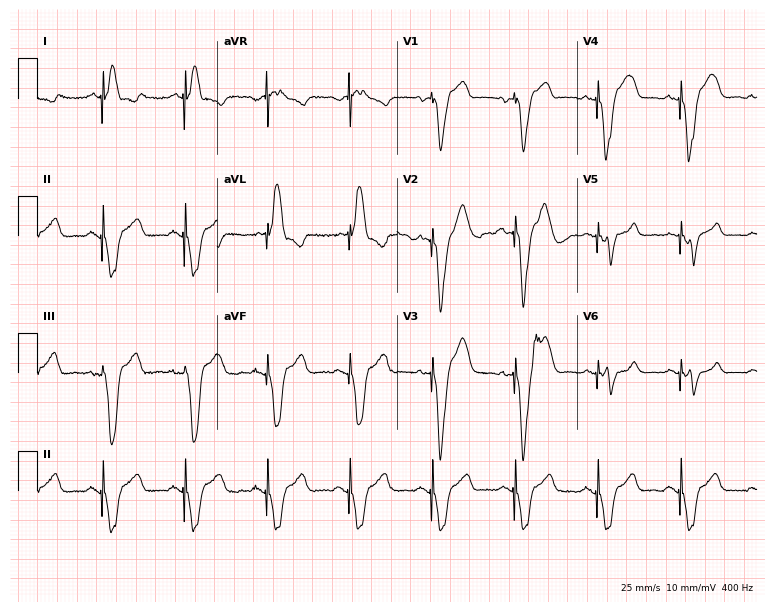
ECG (7.3-second recording at 400 Hz) — a male patient, 74 years old. Screened for six findings — first-degree AV block, right bundle branch block, left bundle branch block, sinus bradycardia, atrial fibrillation, sinus tachycardia — none is recorded.